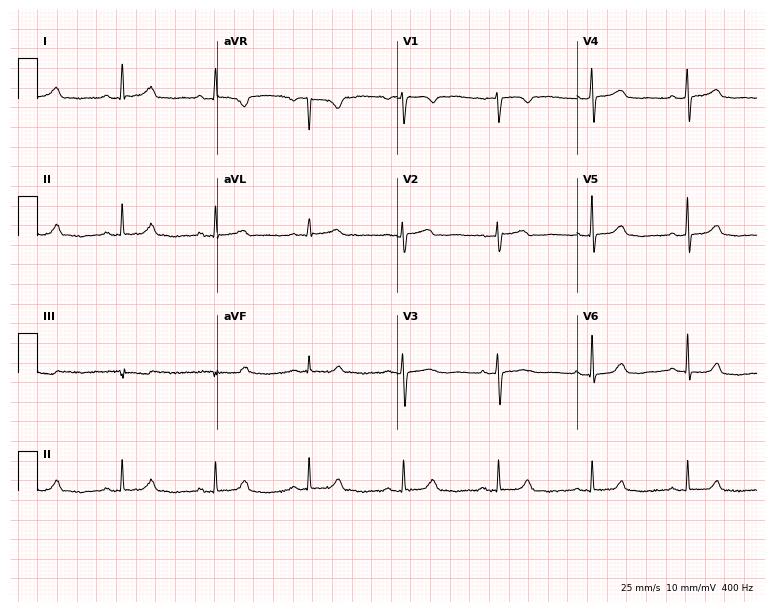
Standard 12-lead ECG recorded from a 53-year-old woman (7.3-second recording at 400 Hz). Read as a normal ECG.